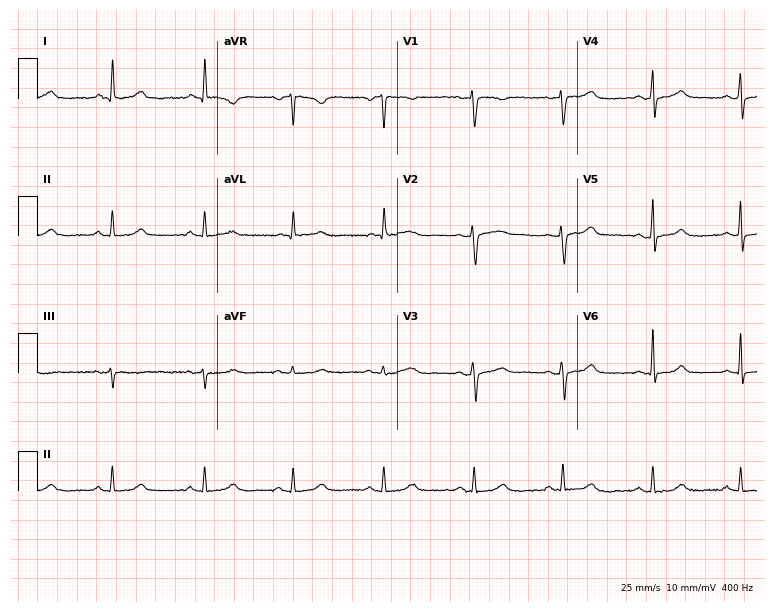
ECG (7.3-second recording at 400 Hz) — a 60-year-old female patient. Labelled as a normal ECG.